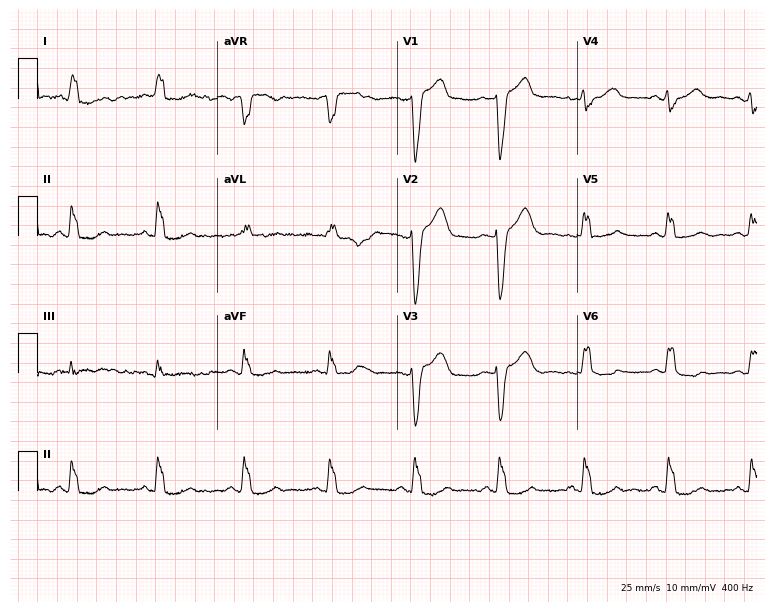
Standard 12-lead ECG recorded from a 59-year-old female patient (7.3-second recording at 400 Hz). The tracing shows left bundle branch block.